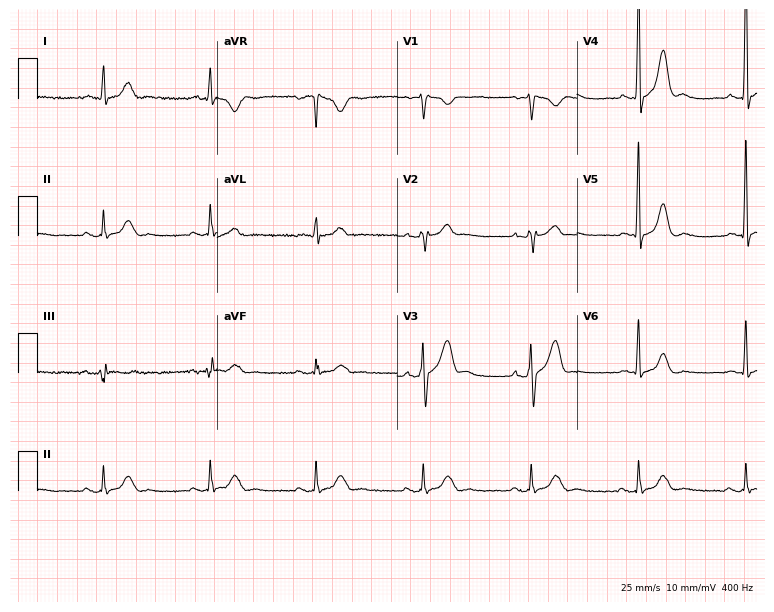
Electrocardiogram (7.3-second recording at 400 Hz), a 60-year-old man. Of the six screened findings (first-degree AV block, right bundle branch block, left bundle branch block, sinus bradycardia, atrial fibrillation, sinus tachycardia), none is recorded.